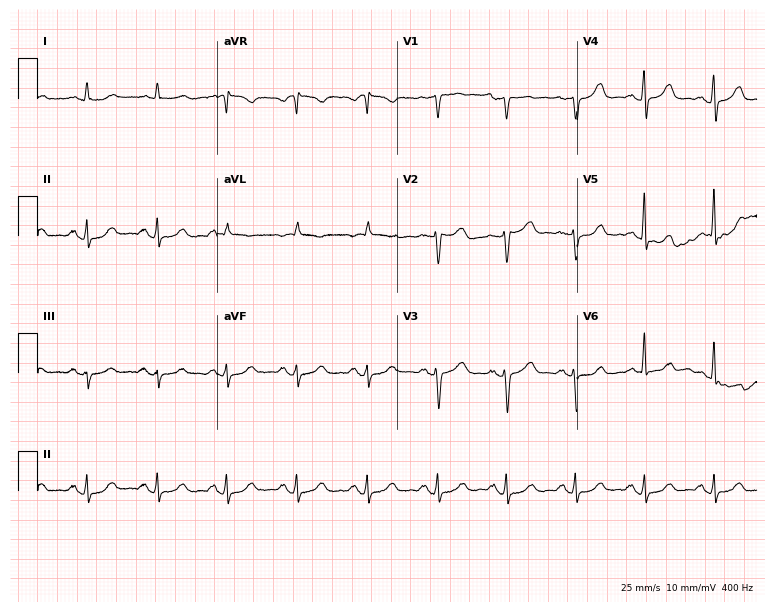
Resting 12-lead electrocardiogram. Patient: a female, 67 years old. Read as a normal ECG.